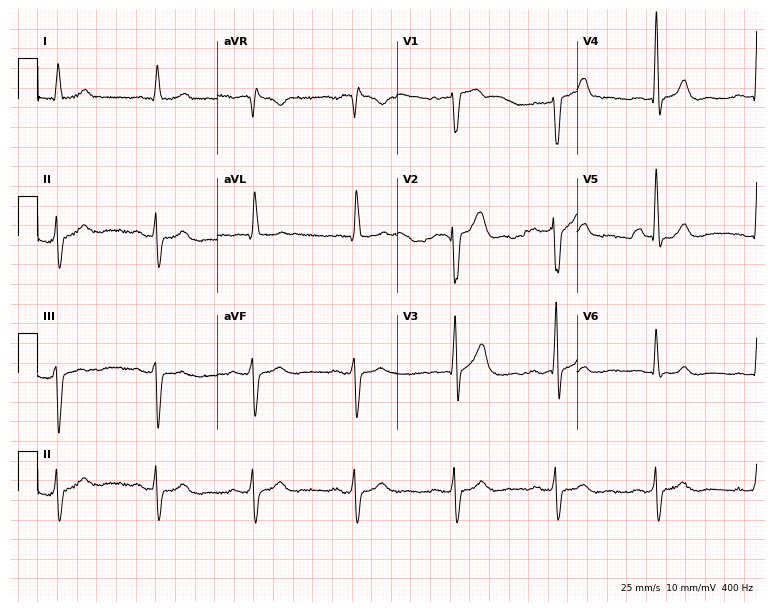
12-lead ECG (7.3-second recording at 400 Hz) from a male, 80 years old. Screened for six findings — first-degree AV block, right bundle branch block, left bundle branch block, sinus bradycardia, atrial fibrillation, sinus tachycardia — none is recorded. Findings outside these six are not listed.